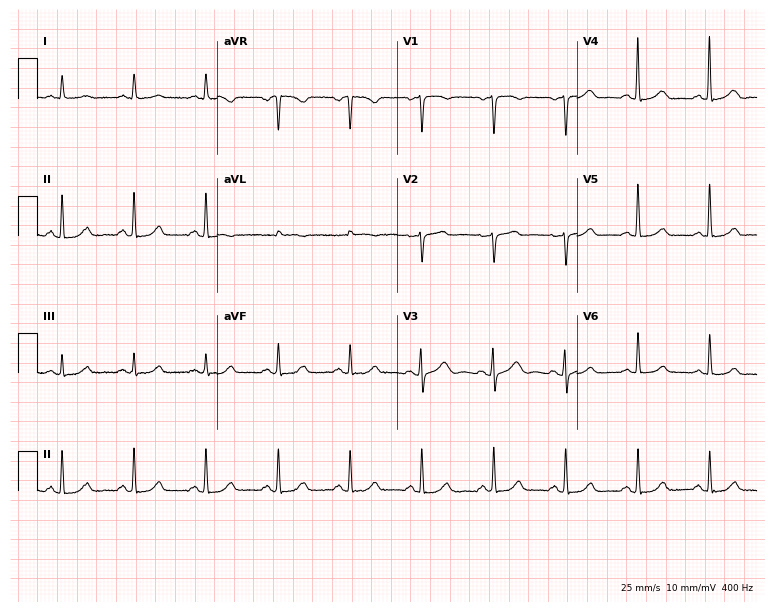
Standard 12-lead ECG recorded from a female patient, 76 years old (7.3-second recording at 400 Hz). None of these six findings is recorded: first-degree AV block, right bundle branch block (RBBB), left bundle branch block (LBBB), sinus bradycardia, atrial fibrillation (AF), sinus tachycardia. Findings outside these six are not listed.